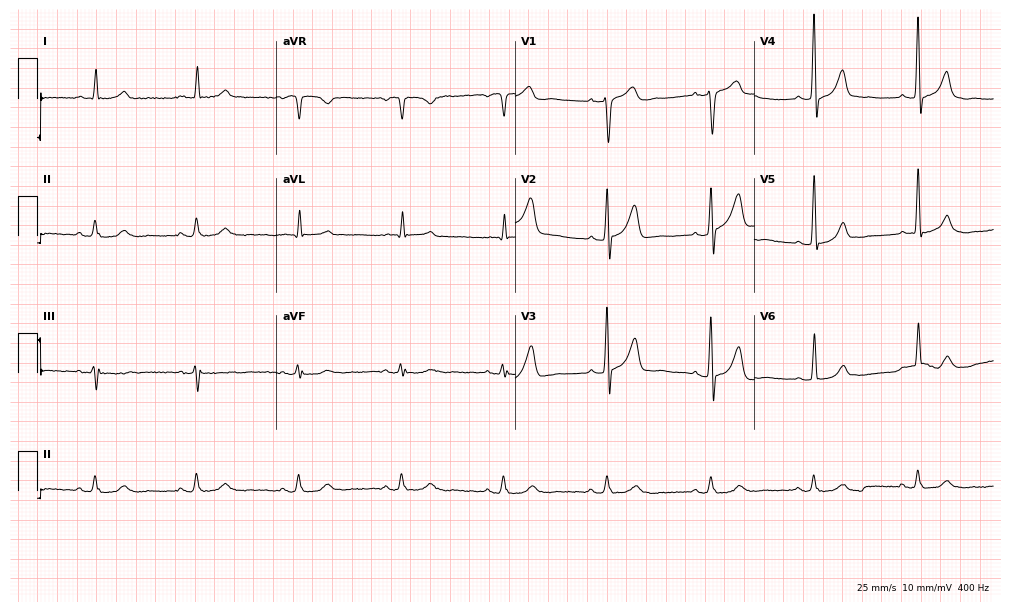
12-lead ECG from a male, 74 years old. Labelled as a normal ECG.